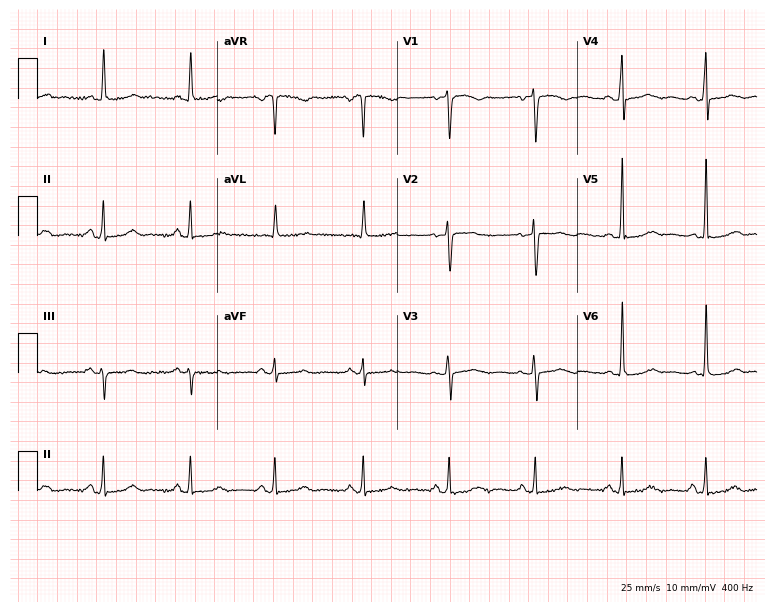
Standard 12-lead ECG recorded from a 63-year-old female (7.3-second recording at 400 Hz). None of these six findings is recorded: first-degree AV block, right bundle branch block (RBBB), left bundle branch block (LBBB), sinus bradycardia, atrial fibrillation (AF), sinus tachycardia. Only these six findings were labelled.